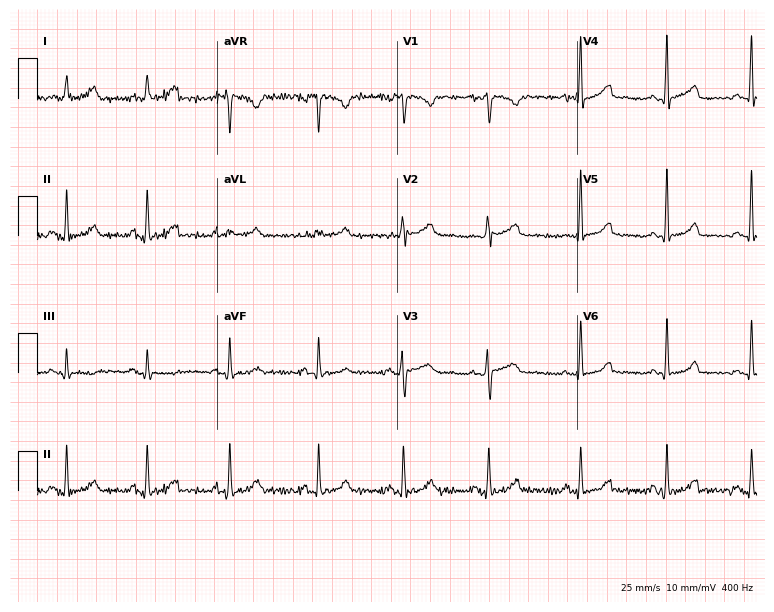
12-lead ECG from a 37-year-old woman. Labelled as a normal ECG.